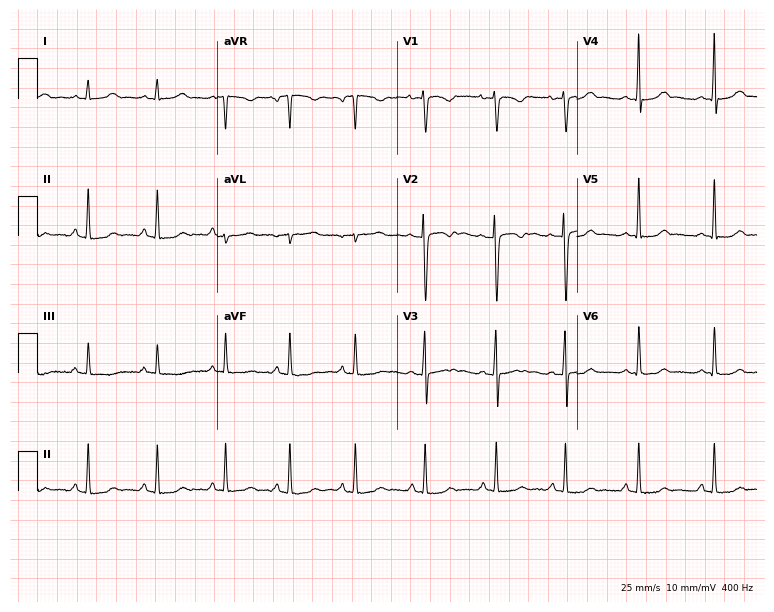
Resting 12-lead electrocardiogram. Patient: a 20-year-old woman. Read as a normal ECG.